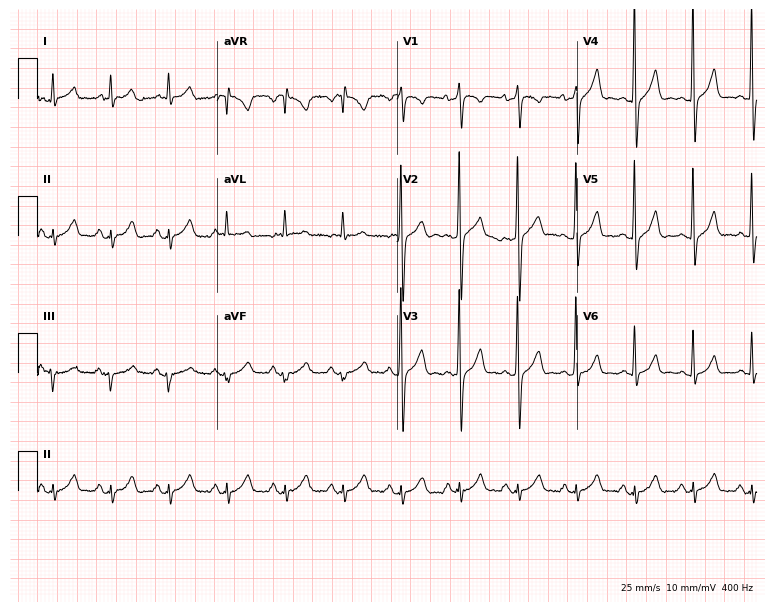
Resting 12-lead electrocardiogram (7.3-second recording at 400 Hz). Patient: a female, 78 years old. The tracing shows sinus tachycardia (a sinus rate of 100 beats per minute or more).